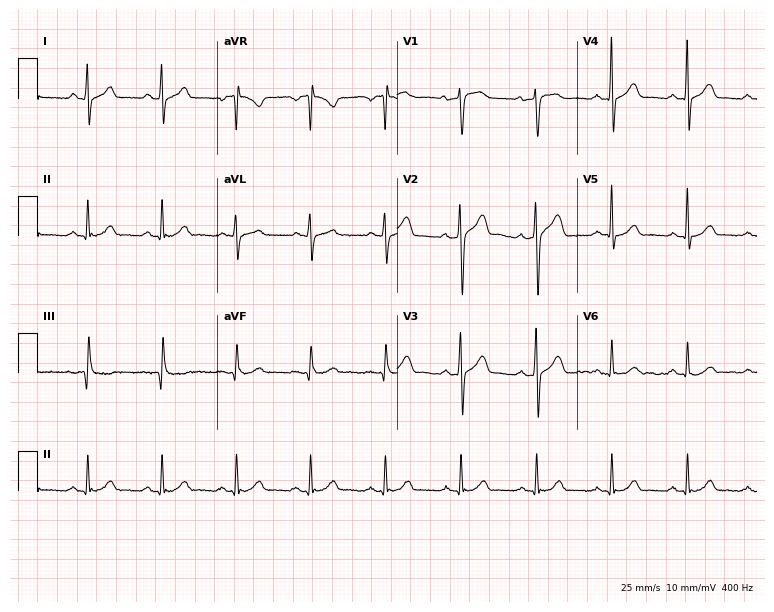
Standard 12-lead ECG recorded from a man, 43 years old. Read as a normal ECG.